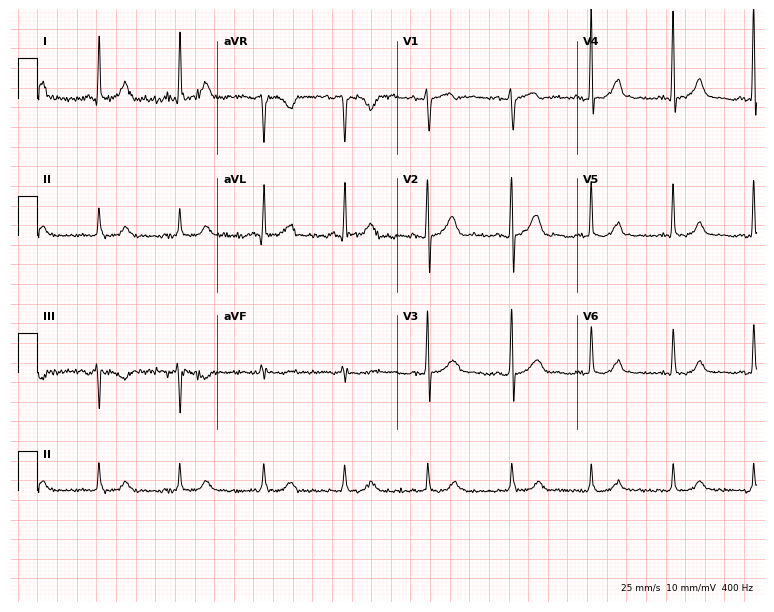
ECG (7.3-second recording at 400 Hz) — a female, 60 years old. Labelled as a normal ECG.